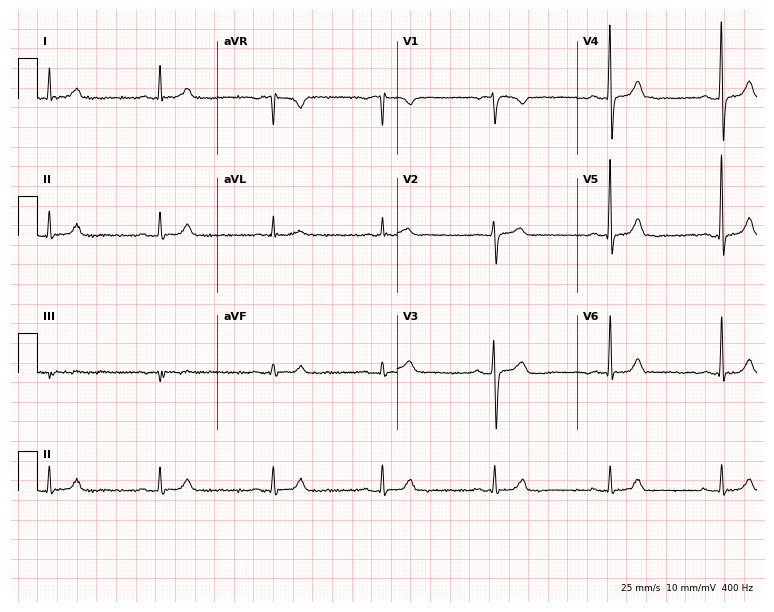
Resting 12-lead electrocardiogram (7.3-second recording at 400 Hz). Patient: a male, 75 years old. Read as a normal ECG.